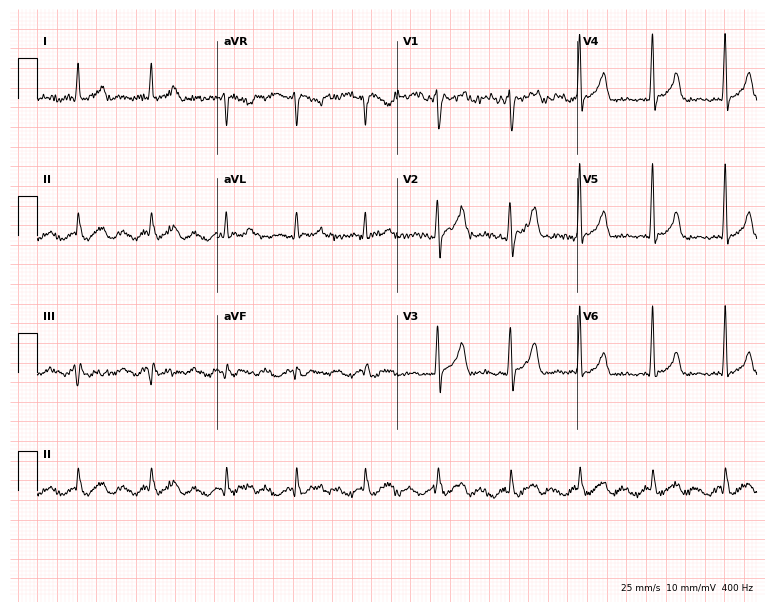
Electrocardiogram, a male patient, 71 years old. Of the six screened findings (first-degree AV block, right bundle branch block, left bundle branch block, sinus bradycardia, atrial fibrillation, sinus tachycardia), none is recorded. Findings outside these six are not listed.